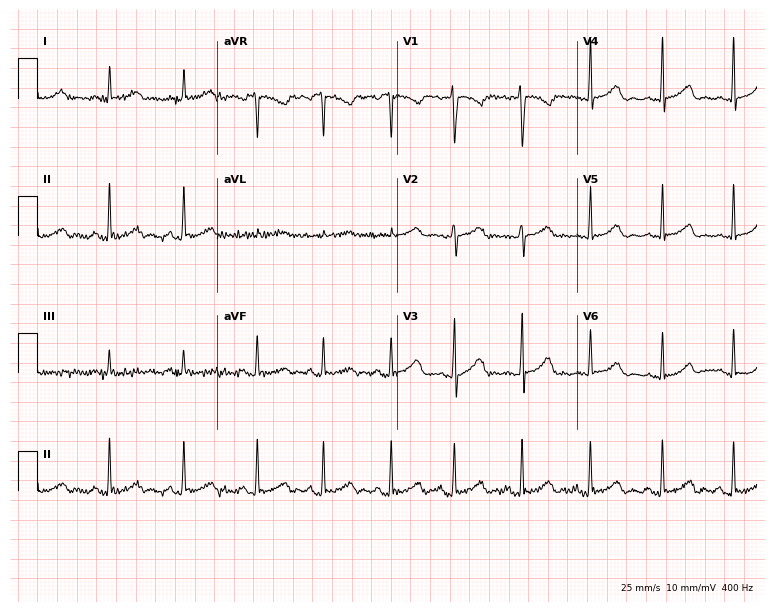
12-lead ECG (7.3-second recording at 400 Hz) from a female, 24 years old. Screened for six findings — first-degree AV block, right bundle branch block, left bundle branch block, sinus bradycardia, atrial fibrillation, sinus tachycardia — none is recorded. Findings outside these six are not listed.